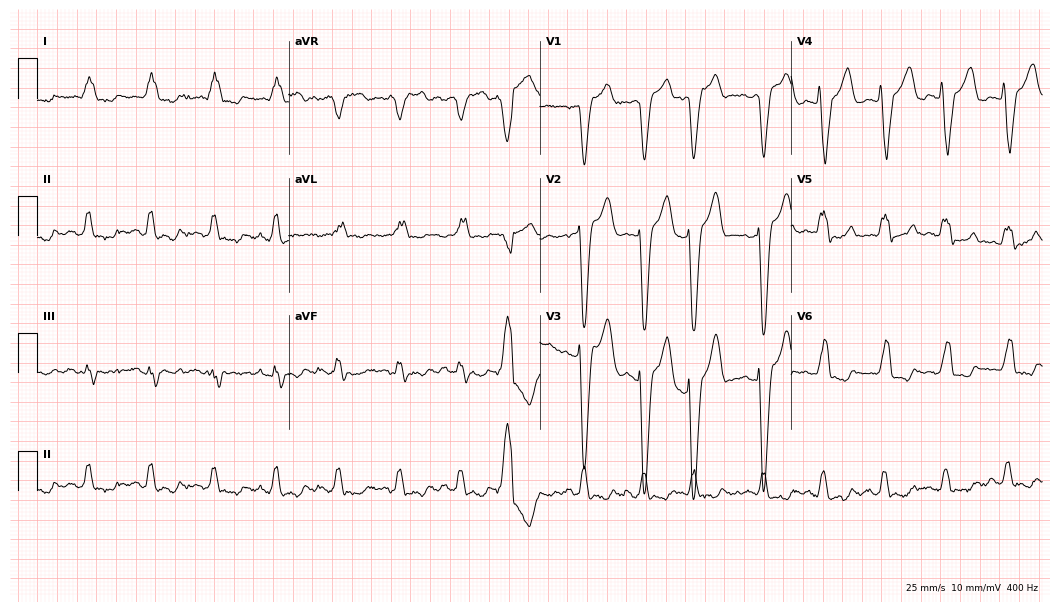
Electrocardiogram, a male, 78 years old. Interpretation includes left bundle branch block.